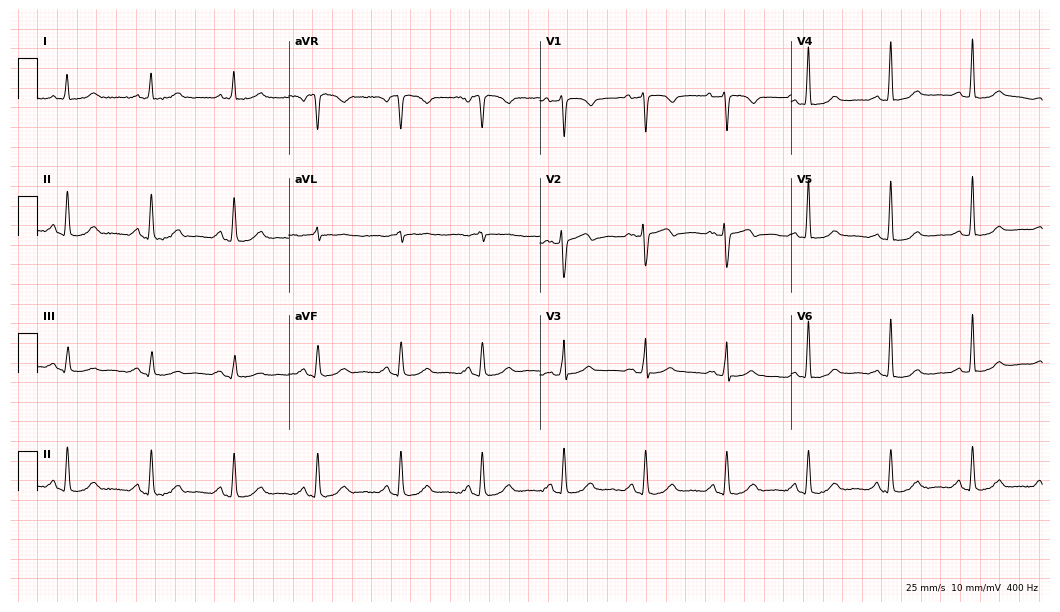
ECG (10.2-second recording at 400 Hz) — a man, 80 years old. Screened for six findings — first-degree AV block, right bundle branch block (RBBB), left bundle branch block (LBBB), sinus bradycardia, atrial fibrillation (AF), sinus tachycardia — none is recorded.